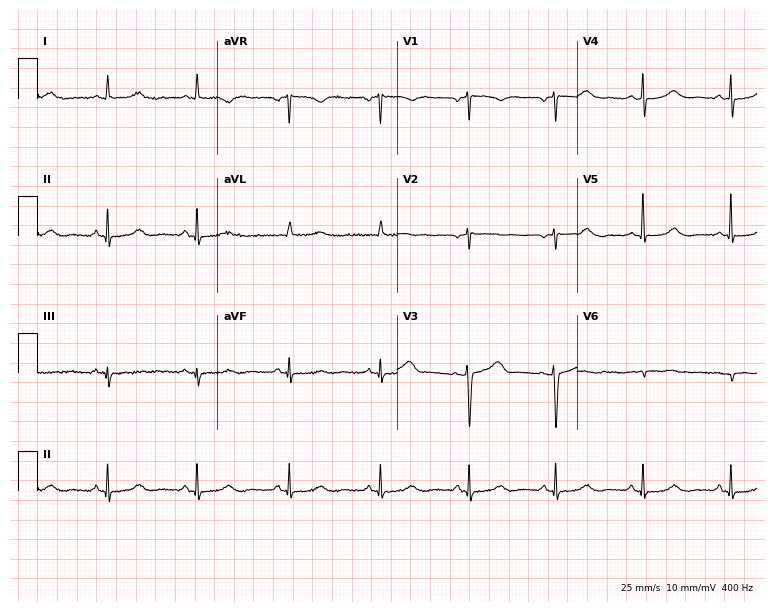
12-lead ECG from a 57-year-old woman. No first-degree AV block, right bundle branch block, left bundle branch block, sinus bradycardia, atrial fibrillation or sinus tachycardia recorded for this tracing.